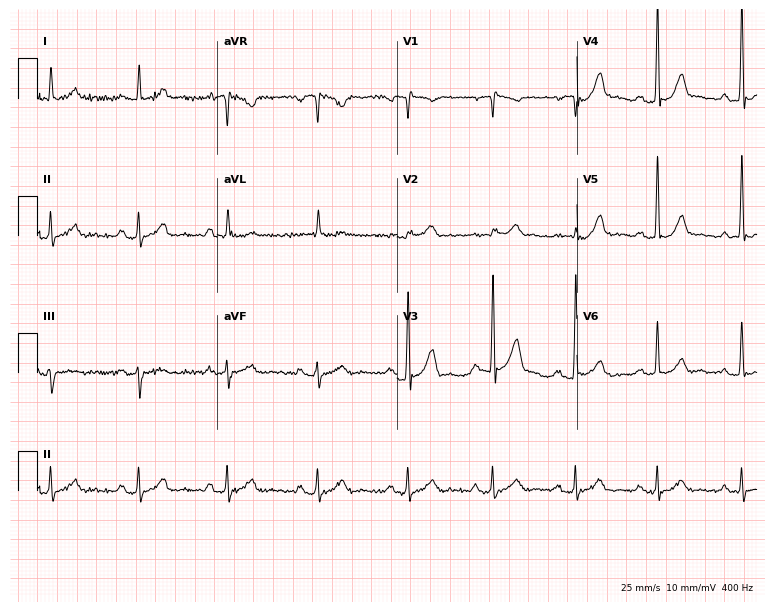
12-lead ECG from a male, 64 years old. Screened for six findings — first-degree AV block, right bundle branch block, left bundle branch block, sinus bradycardia, atrial fibrillation, sinus tachycardia — none is recorded. Findings outside these six are not listed.